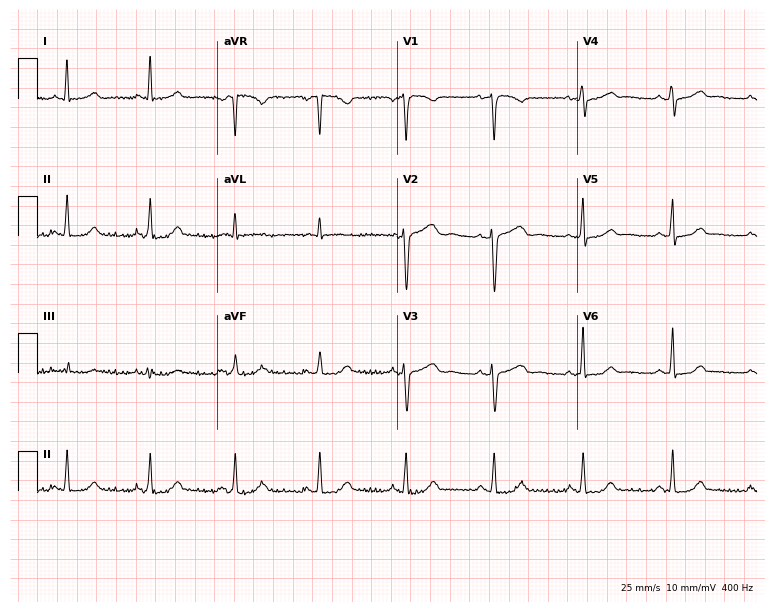
Standard 12-lead ECG recorded from a female, 46 years old (7.3-second recording at 400 Hz). Read as a normal ECG.